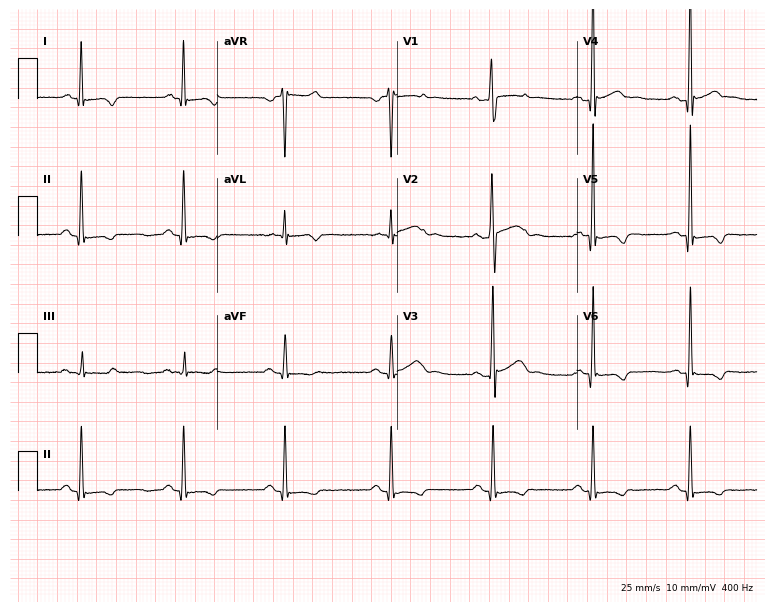
Resting 12-lead electrocardiogram. Patient: a 43-year-old man. None of these six findings is recorded: first-degree AV block, right bundle branch block (RBBB), left bundle branch block (LBBB), sinus bradycardia, atrial fibrillation (AF), sinus tachycardia. Other findings, if any, are not listed.